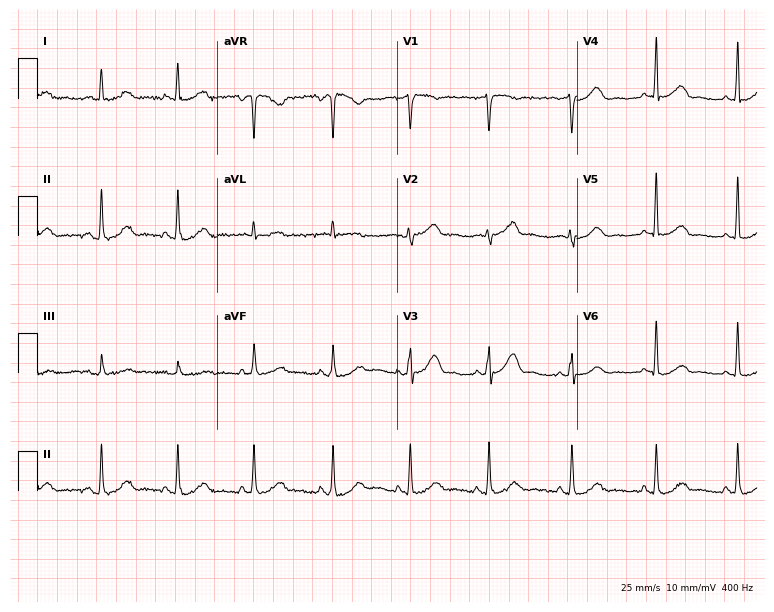
Electrocardiogram (7.3-second recording at 400 Hz), a 50-year-old female patient. Overall reading on record: normal ECG.